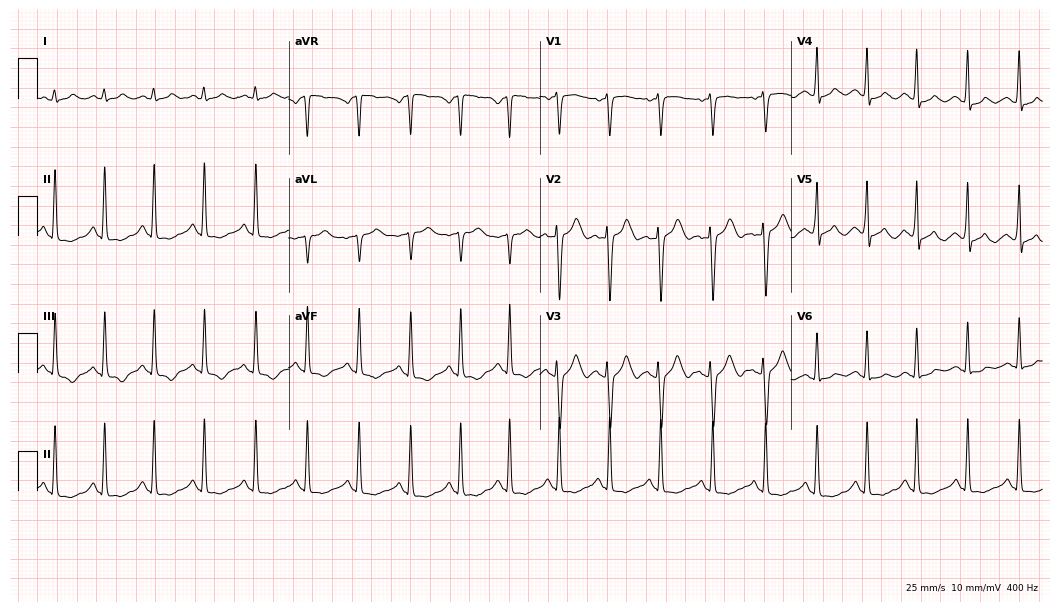
Standard 12-lead ECG recorded from a 27-year-old female patient (10.2-second recording at 400 Hz). The tracing shows sinus tachycardia (a sinus rate of 100 beats per minute or more).